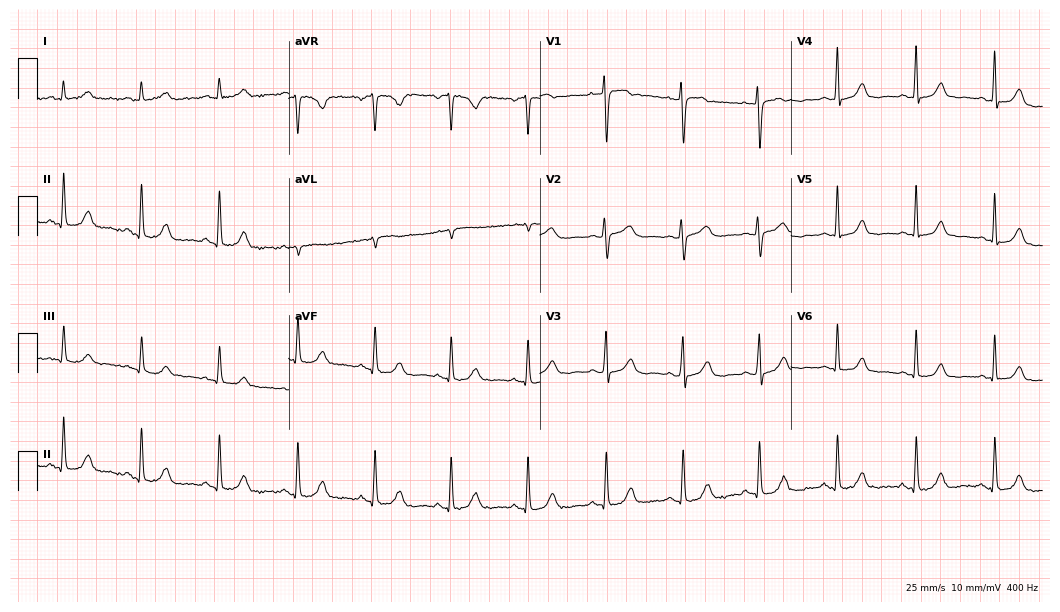
Standard 12-lead ECG recorded from a 53-year-old female (10.2-second recording at 400 Hz). Read as a normal ECG.